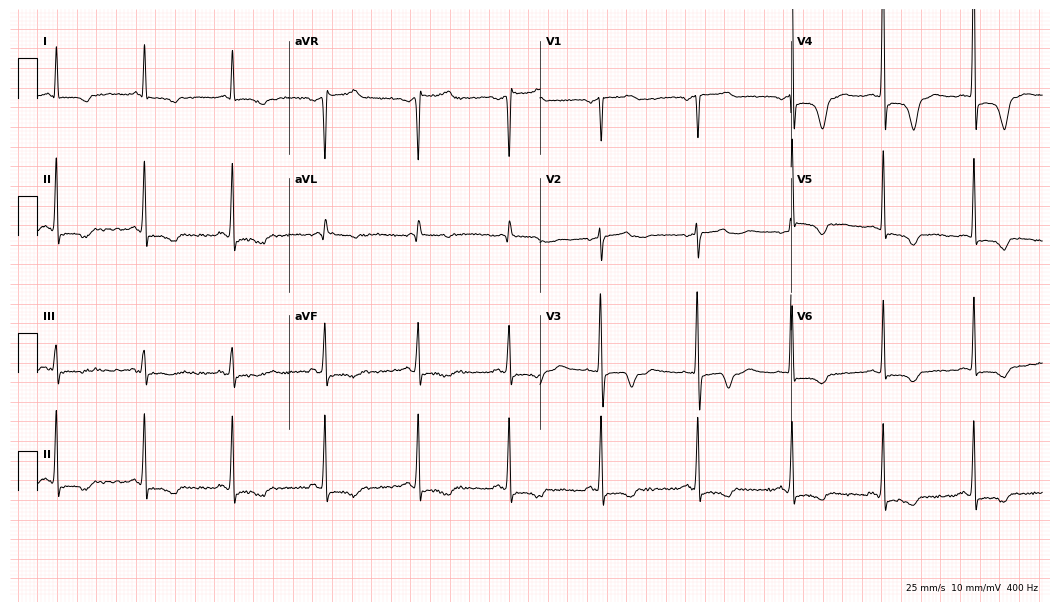
12-lead ECG from a woman, 60 years old. Labelled as a normal ECG.